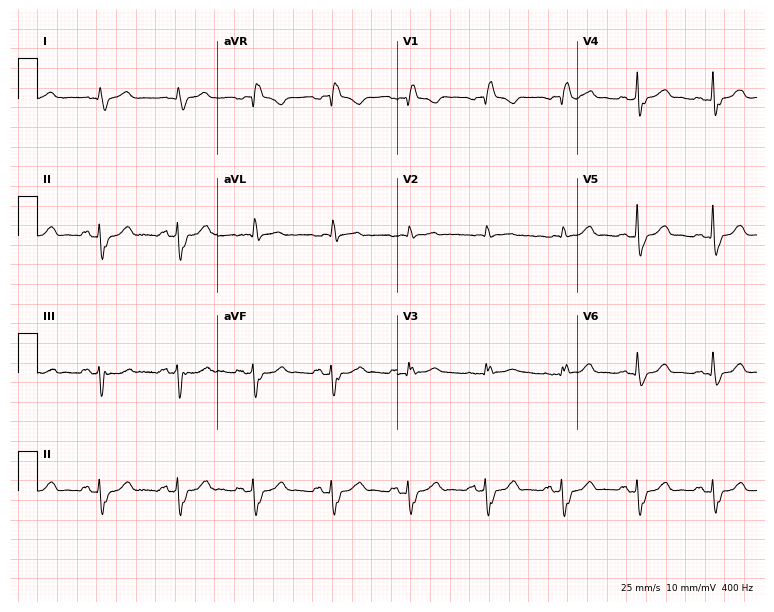
Electrocardiogram (7.3-second recording at 400 Hz), a 79-year-old man. Interpretation includes right bundle branch block.